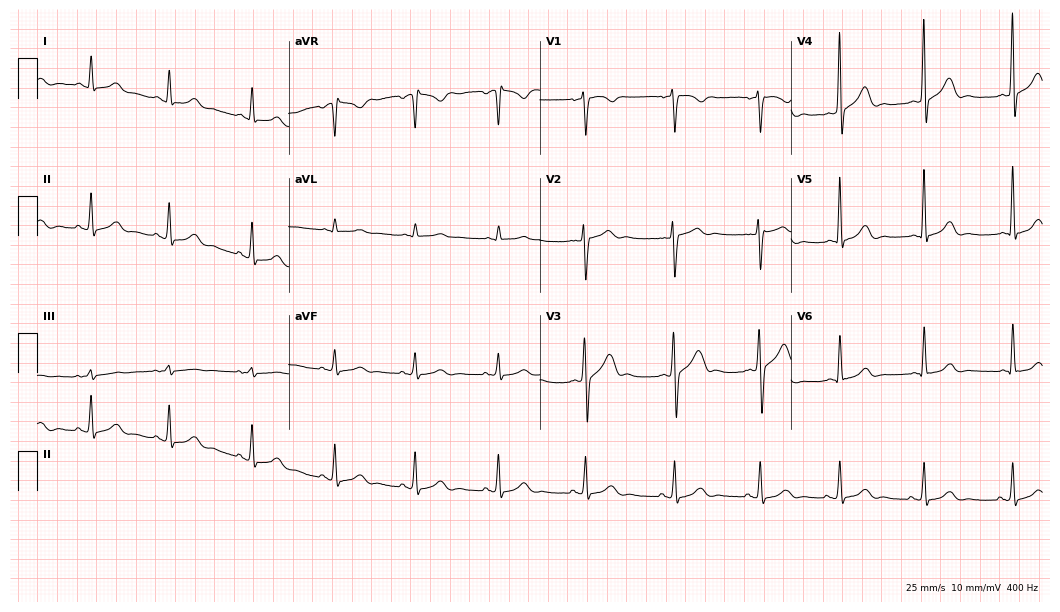
Standard 12-lead ECG recorded from a 36-year-old woman (10.2-second recording at 400 Hz). Read as a normal ECG.